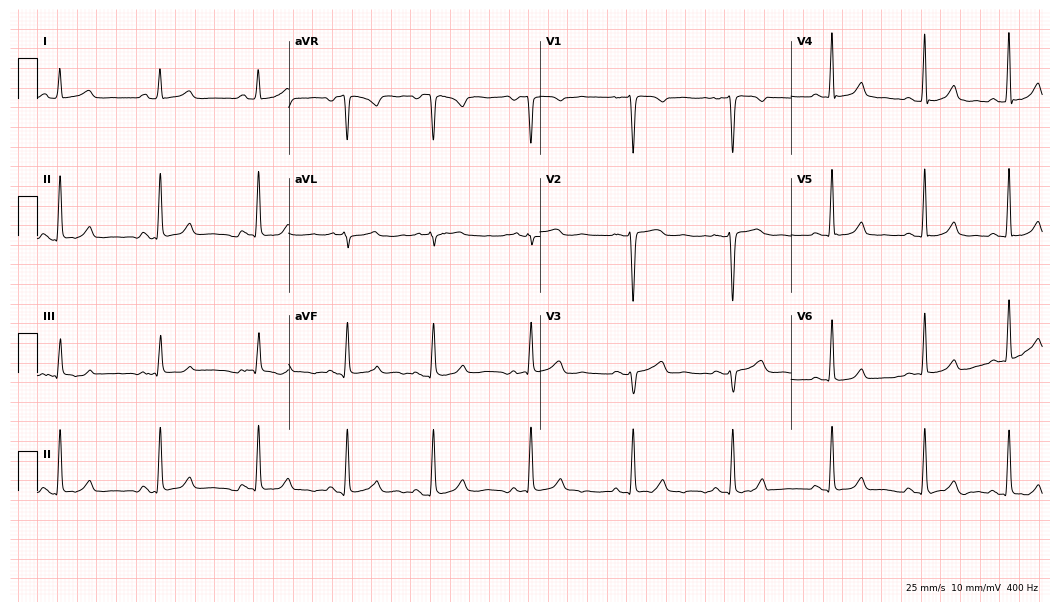
Resting 12-lead electrocardiogram (10.2-second recording at 400 Hz). Patient: a woman, 41 years old. Read as a normal ECG.